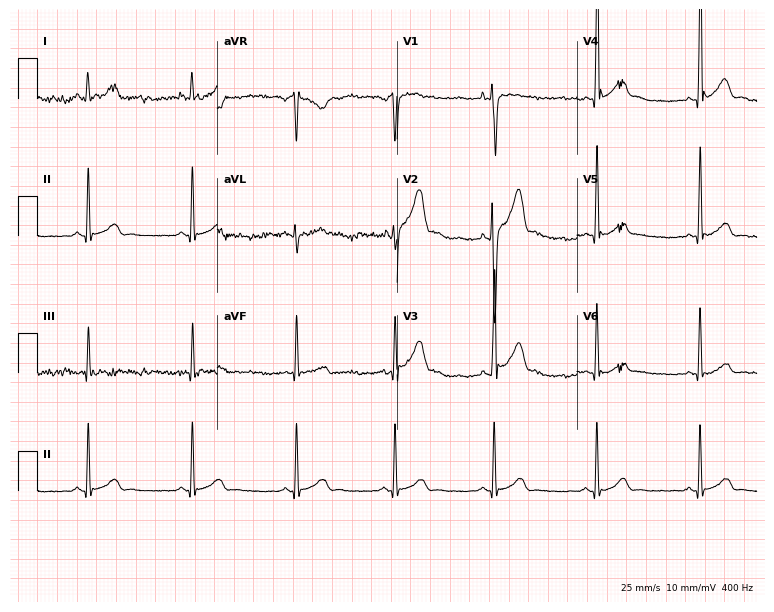
Resting 12-lead electrocardiogram (7.3-second recording at 400 Hz). Patient: a 27-year-old man. Read as a normal ECG.